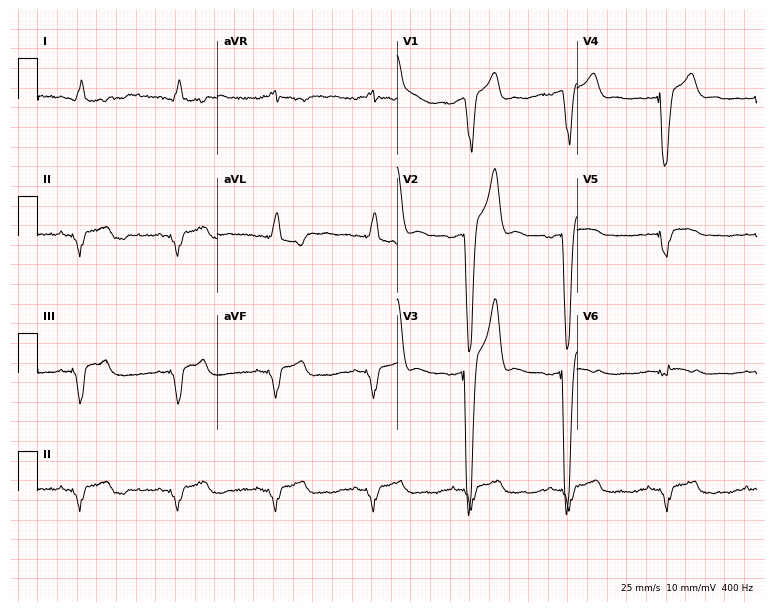
ECG (7.3-second recording at 400 Hz) — a 38-year-old male. Screened for six findings — first-degree AV block, right bundle branch block, left bundle branch block, sinus bradycardia, atrial fibrillation, sinus tachycardia — none is recorded. Other findings, if any, are not listed.